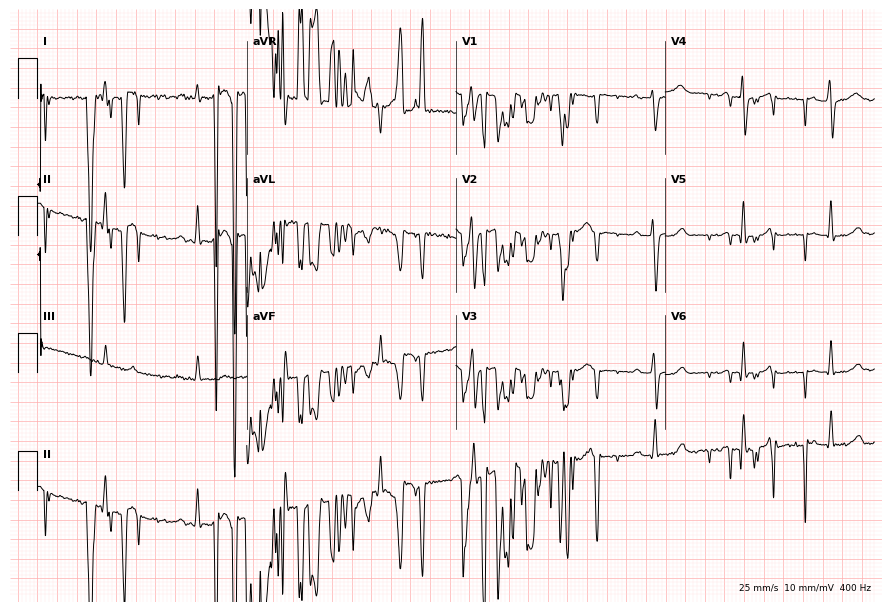
Electrocardiogram, a female patient, 33 years old. Of the six screened findings (first-degree AV block, right bundle branch block, left bundle branch block, sinus bradycardia, atrial fibrillation, sinus tachycardia), none is recorded. Findings outside these six are not listed.